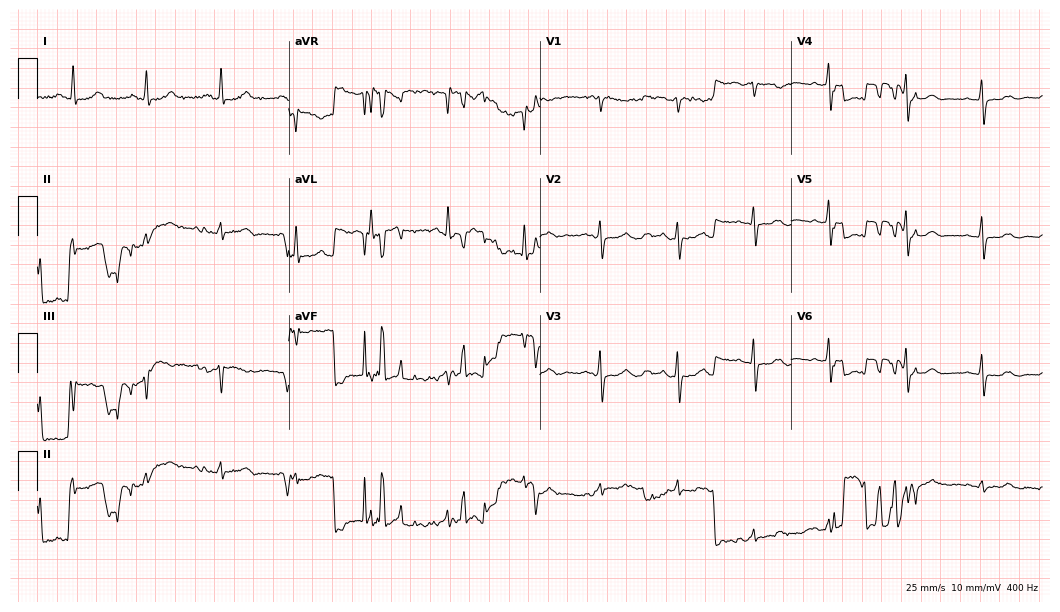
ECG — a female patient, 59 years old. Screened for six findings — first-degree AV block, right bundle branch block, left bundle branch block, sinus bradycardia, atrial fibrillation, sinus tachycardia — none is recorded.